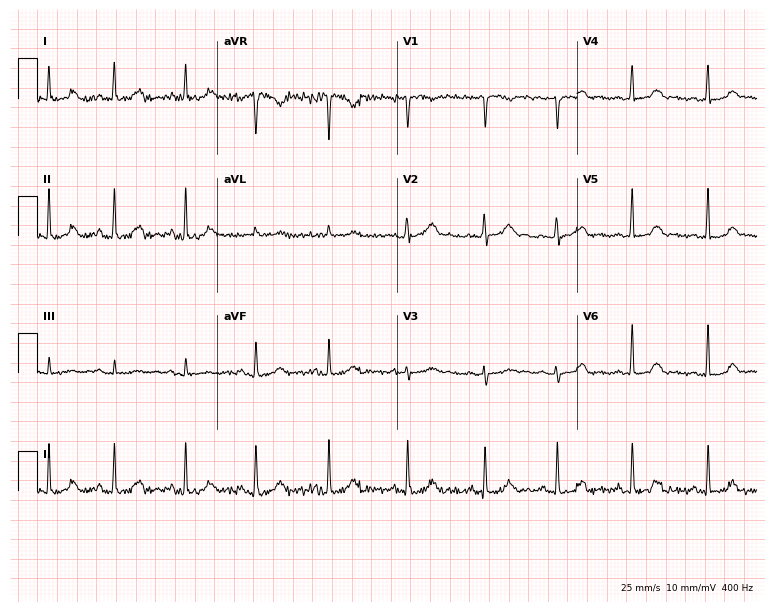
Standard 12-lead ECG recorded from a woman, 28 years old (7.3-second recording at 400 Hz). None of these six findings is recorded: first-degree AV block, right bundle branch block, left bundle branch block, sinus bradycardia, atrial fibrillation, sinus tachycardia. Only these six findings were labelled.